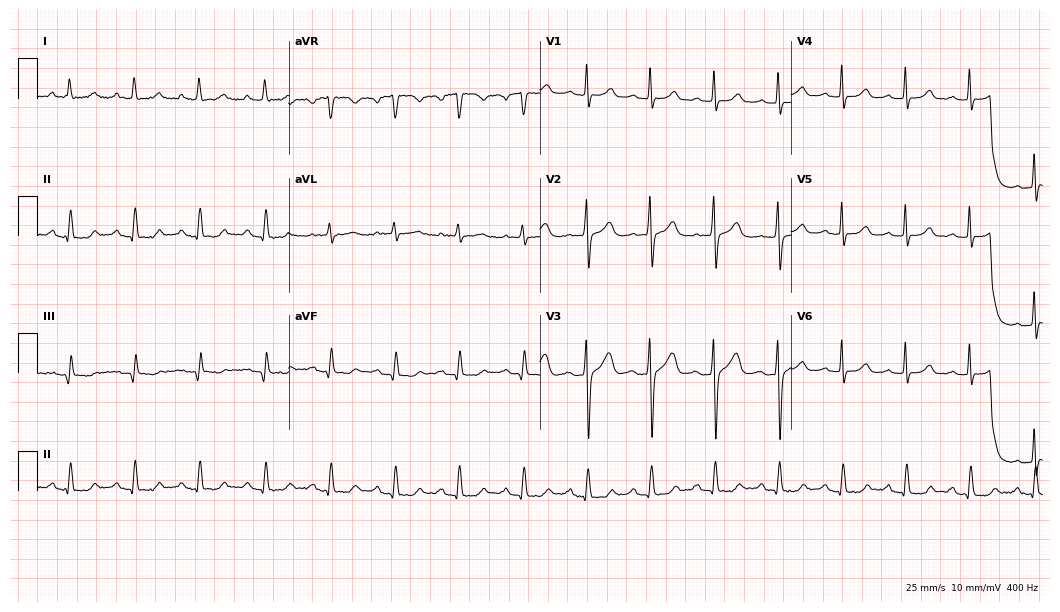
12-lead ECG from a female patient, 62 years old (10.2-second recording at 400 Hz). No first-degree AV block, right bundle branch block, left bundle branch block, sinus bradycardia, atrial fibrillation or sinus tachycardia recorded for this tracing. Other findings, if any, are not listed.